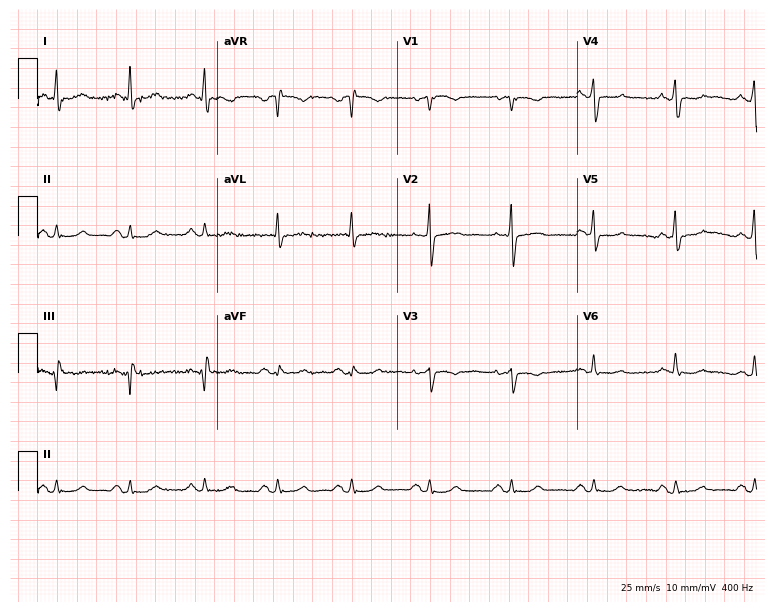
ECG (7.3-second recording at 400 Hz) — a woman, 63 years old. Screened for six findings — first-degree AV block, right bundle branch block (RBBB), left bundle branch block (LBBB), sinus bradycardia, atrial fibrillation (AF), sinus tachycardia — none is recorded.